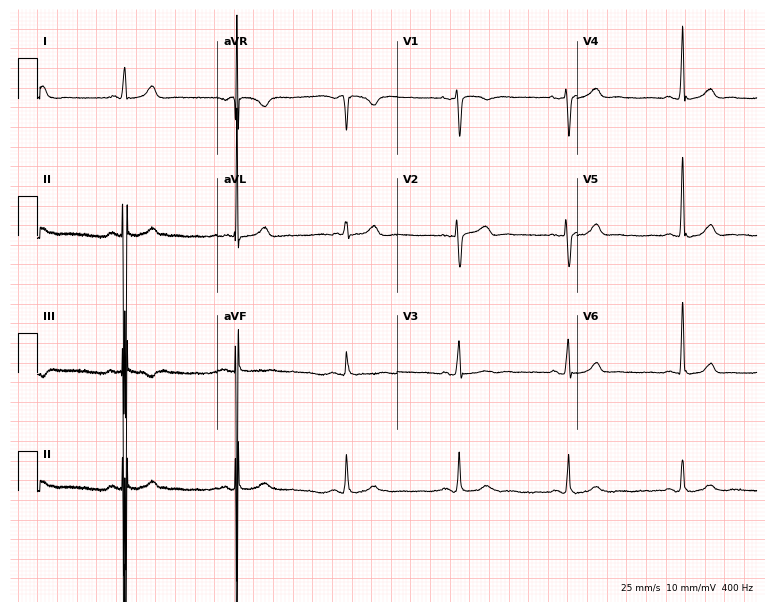
12-lead ECG (7.3-second recording at 400 Hz) from a 40-year-old woman. Labelled as a normal ECG.